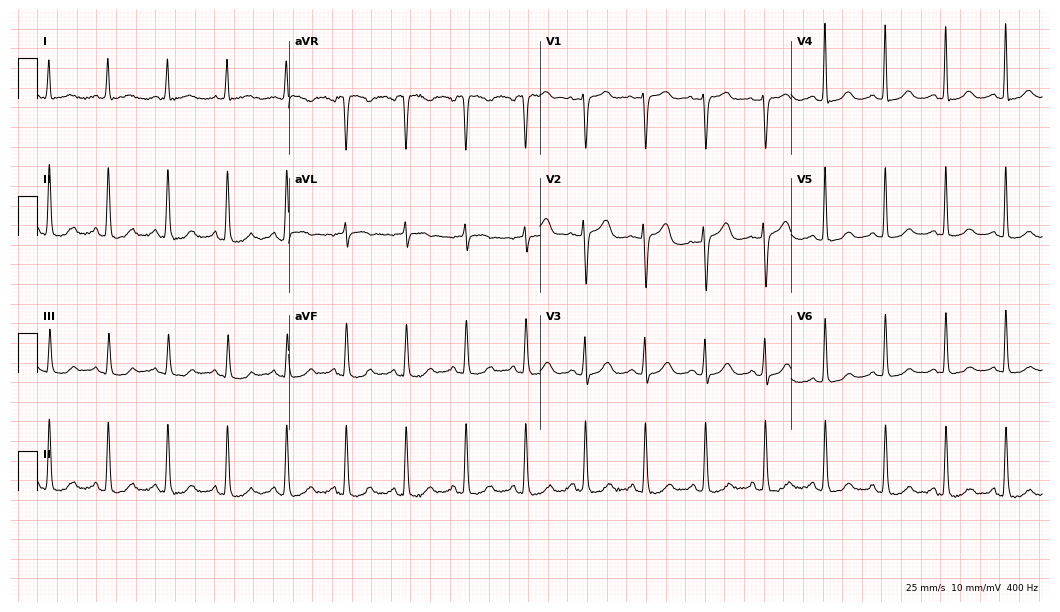
Standard 12-lead ECG recorded from a woman, 68 years old (10.2-second recording at 400 Hz). None of these six findings is recorded: first-degree AV block, right bundle branch block (RBBB), left bundle branch block (LBBB), sinus bradycardia, atrial fibrillation (AF), sinus tachycardia.